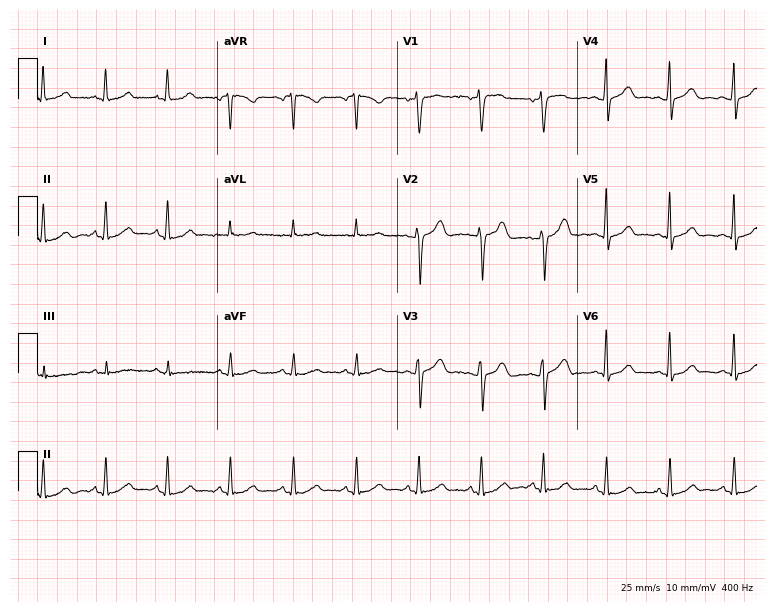
ECG (7.3-second recording at 400 Hz) — a female, 42 years old. Labelled as a normal ECG.